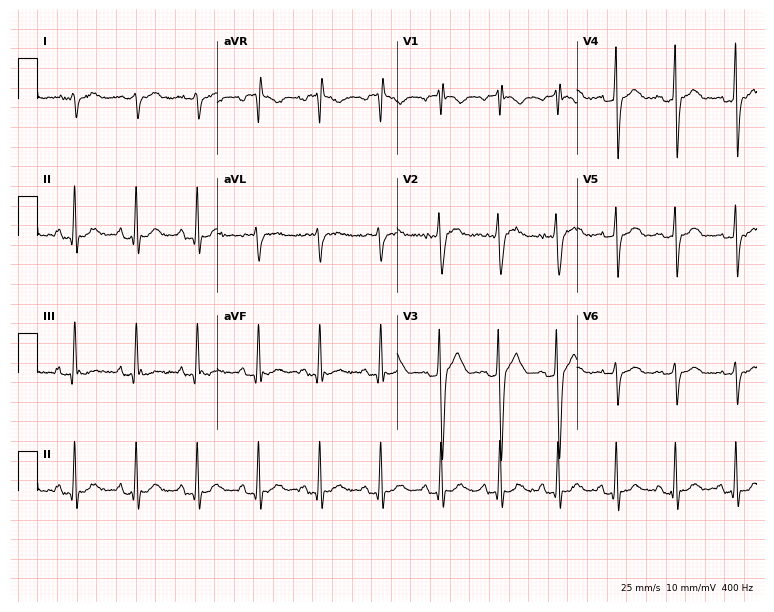
12-lead ECG from a man, 36 years old. Screened for six findings — first-degree AV block, right bundle branch block, left bundle branch block, sinus bradycardia, atrial fibrillation, sinus tachycardia — none is recorded. Findings outside these six are not listed.